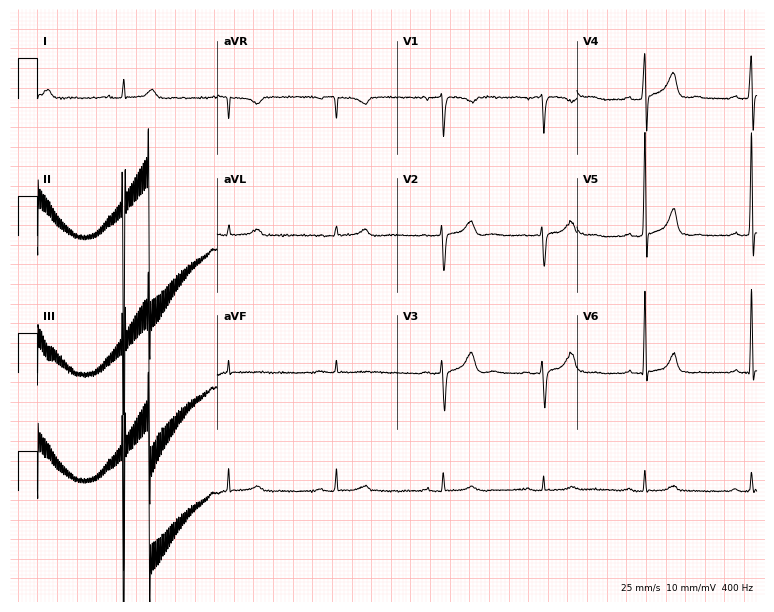
Resting 12-lead electrocardiogram. Patient: a man, 34 years old. Read as a normal ECG.